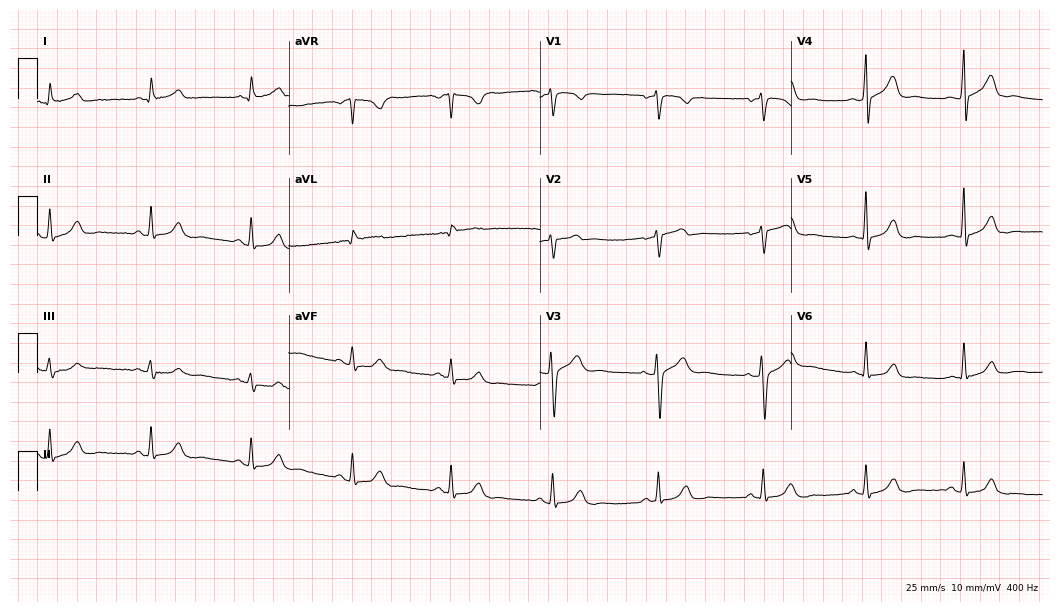
Resting 12-lead electrocardiogram (10.2-second recording at 400 Hz). Patient: a female, 56 years old. Read as a normal ECG.